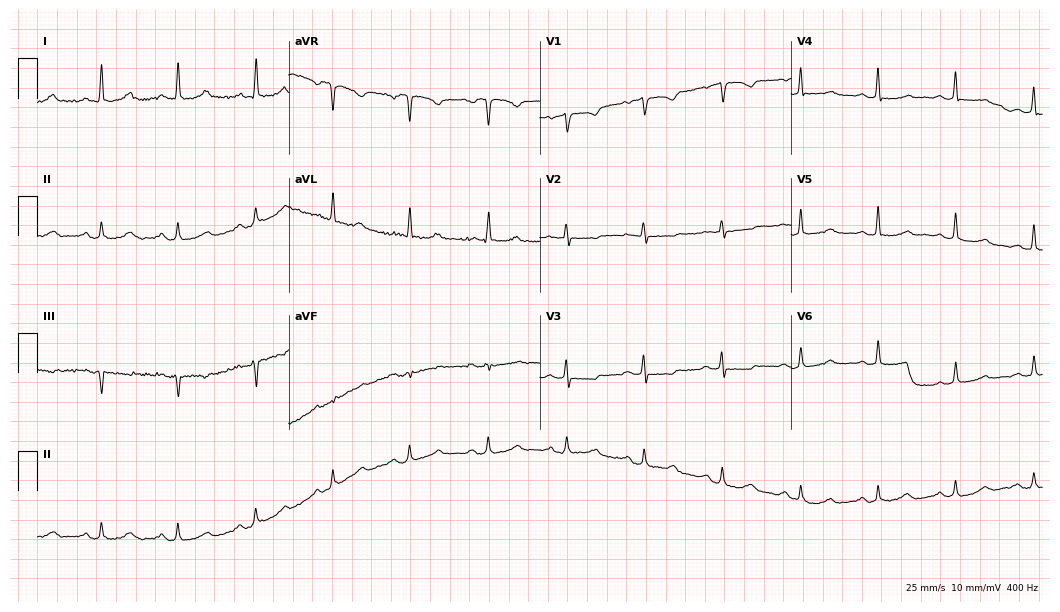
Standard 12-lead ECG recorded from a female patient, 65 years old (10.2-second recording at 400 Hz). Read as a normal ECG.